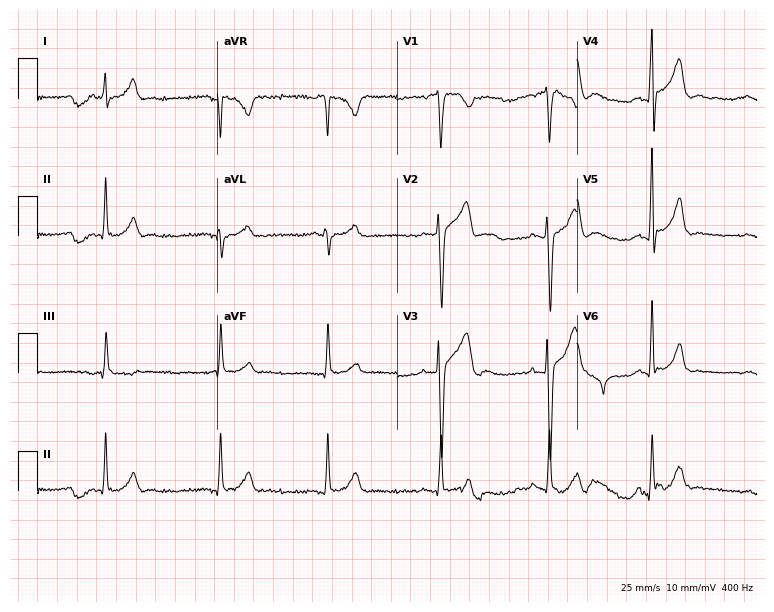
Resting 12-lead electrocardiogram (7.3-second recording at 400 Hz). Patient: a 31-year-old male. None of these six findings is recorded: first-degree AV block, right bundle branch block (RBBB), left bundle branch block (LBBB), sinus bradycardia, atrial fibrillation (AF), sinus tachycardia. Only these six findings were labelled.